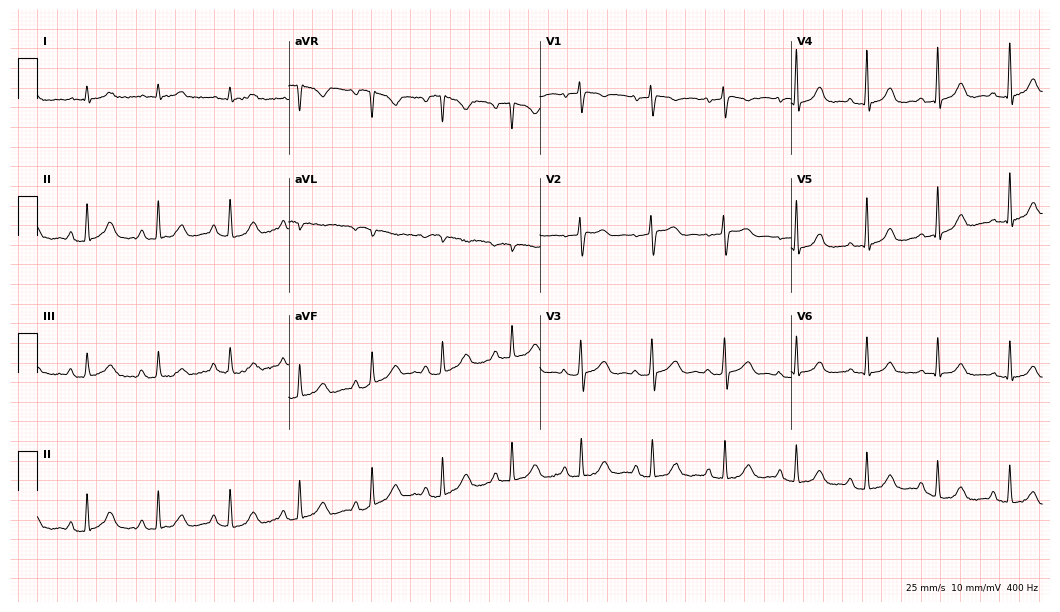
ECG (10.2-second recording at 400 Hz) — a female patient, 45 years old. Screened for six findings — first-degree AV block, right bundle branch block, left bundle branch block, sinus bradycardia, atrial fibrillation, sinus tachycardia — none is recorded.